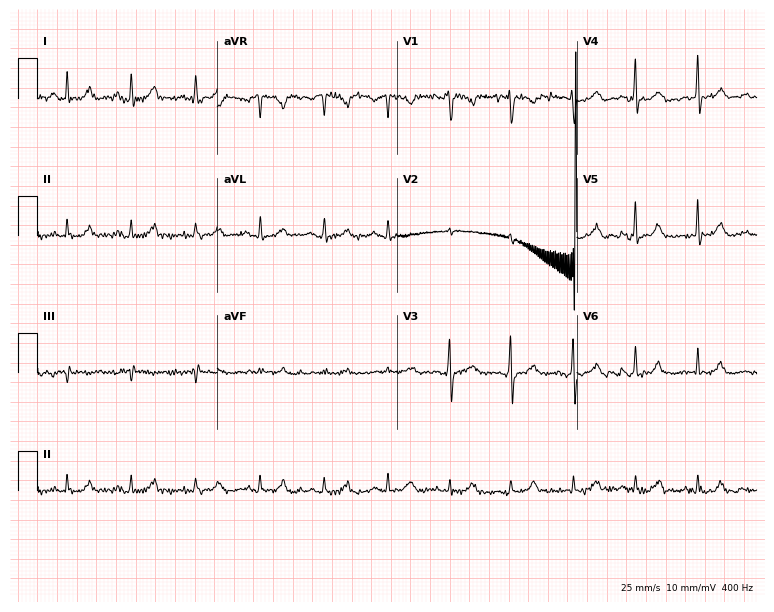
Standard 12-lead ECG recorded from a 35-year-old woman. Read as a normal ECG.